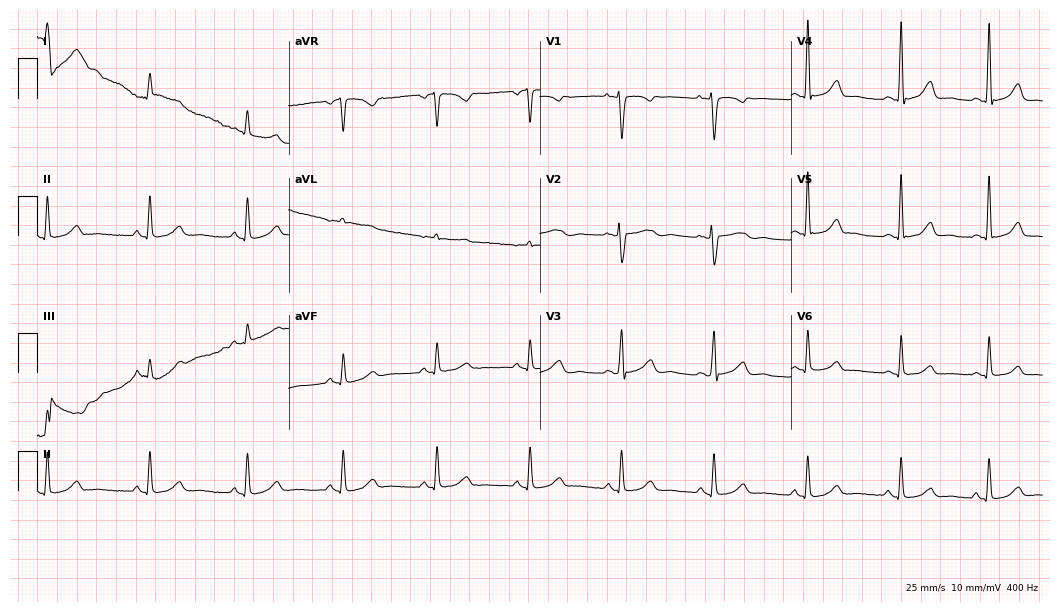
12-lead ECG from a 48-year-old woman (10.2-second recording at 400 Hz). Recorded interpretation: within normal limits.